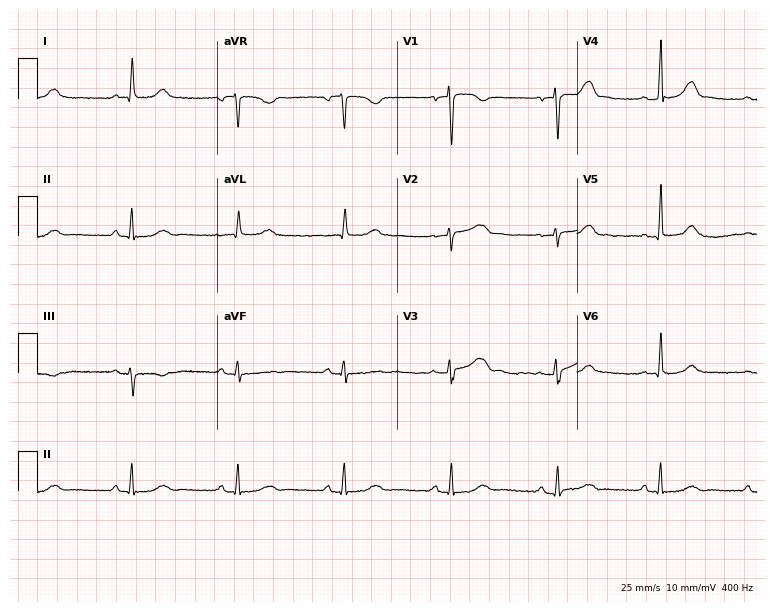
Electrocardiogram (7.3-second recording at 400 Hz), a female patient, 49 years old. Overall reading on record: normal ECG.